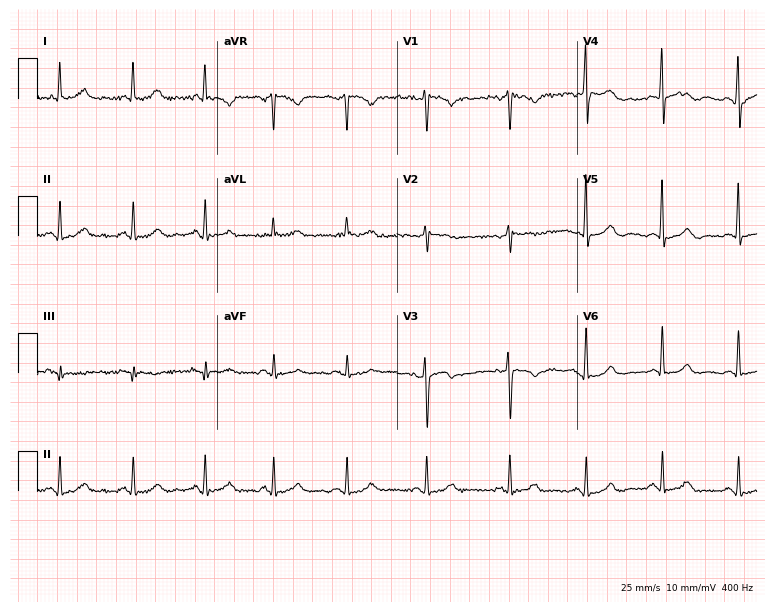
Standard 12-lead ECG recorded from a female patient, 60 years old (7.3-second recording at 400 Hz). None of these six findings is recorded: first-degree AV block, right bundle branch block, left bundle branch block, sinus bradycardia, atrial fibrillation, sinus tachycardia.